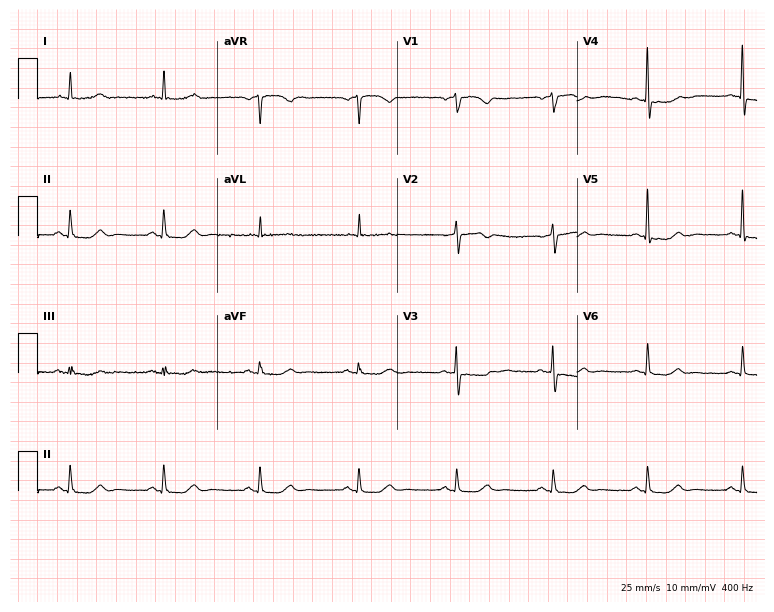
ECG (7.3-second recording at 400 Hz) — a female patient, 68 years old. Labelled as a normal ECG.